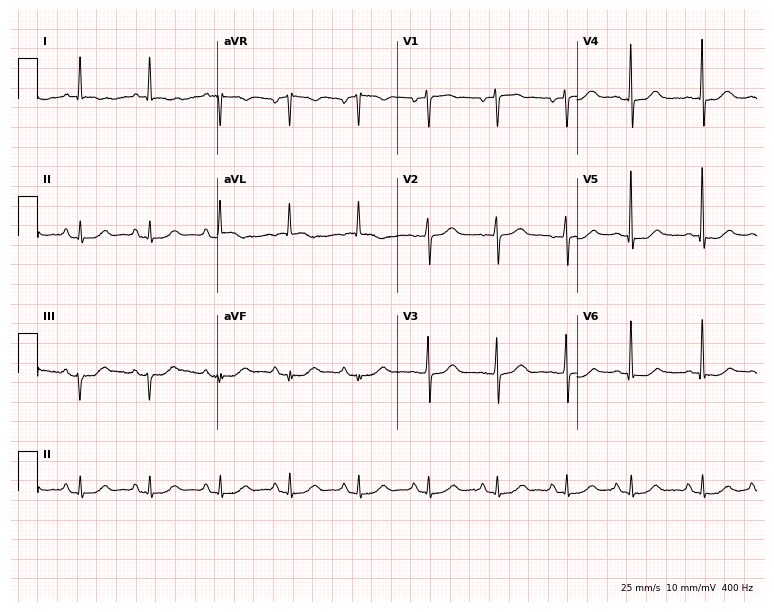
Electrocardiogram, an 83-year-old woman. Overall reading on record: normal ECG.